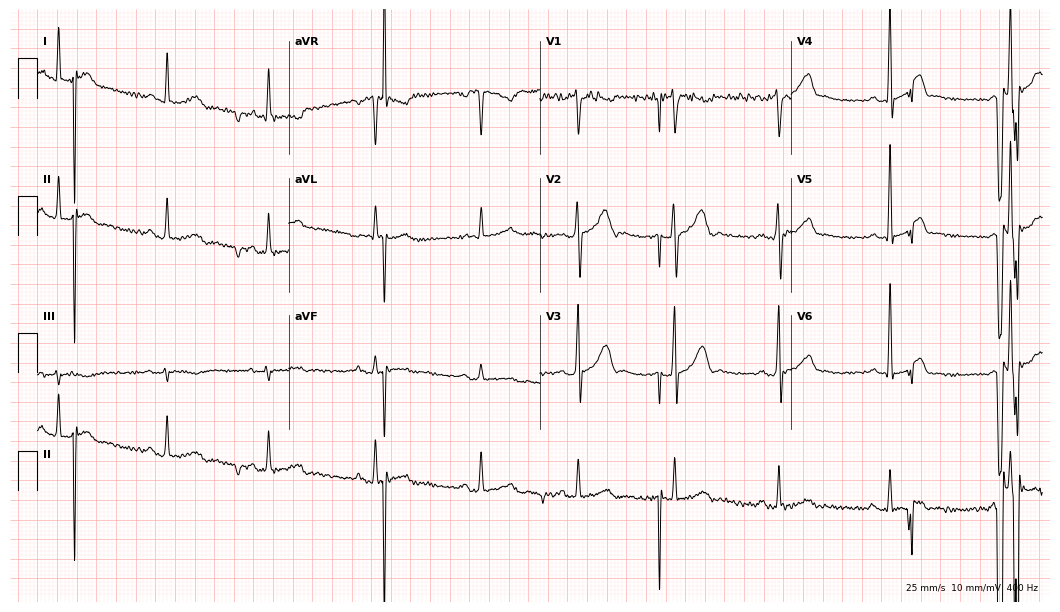
Resting 12-lead electrocardiogram (10.2-second recording at 400 Hz). Patient: a male, 46 years old. None of these six findings is recorded: first-degree AV block, right bundle branch block, left bundle branch block, sinus bradycardia, atrial fibrillation, sinus tachycardia.